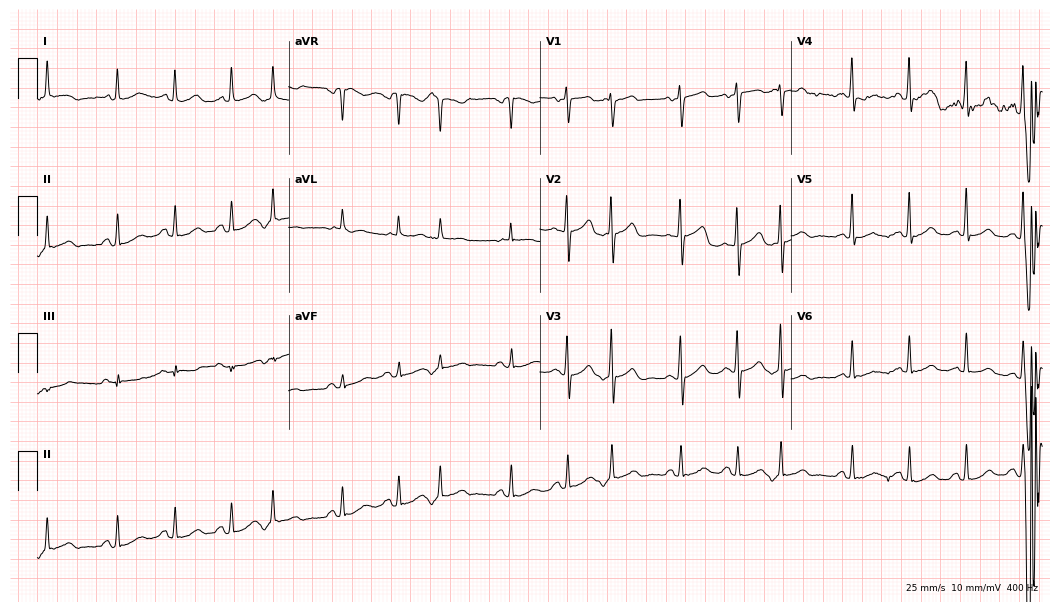
Electrocardiogram, a 78-year-old female patient. Interpretation includes sinus tachycardia (a sinus rate of 100 beats per minute or more).